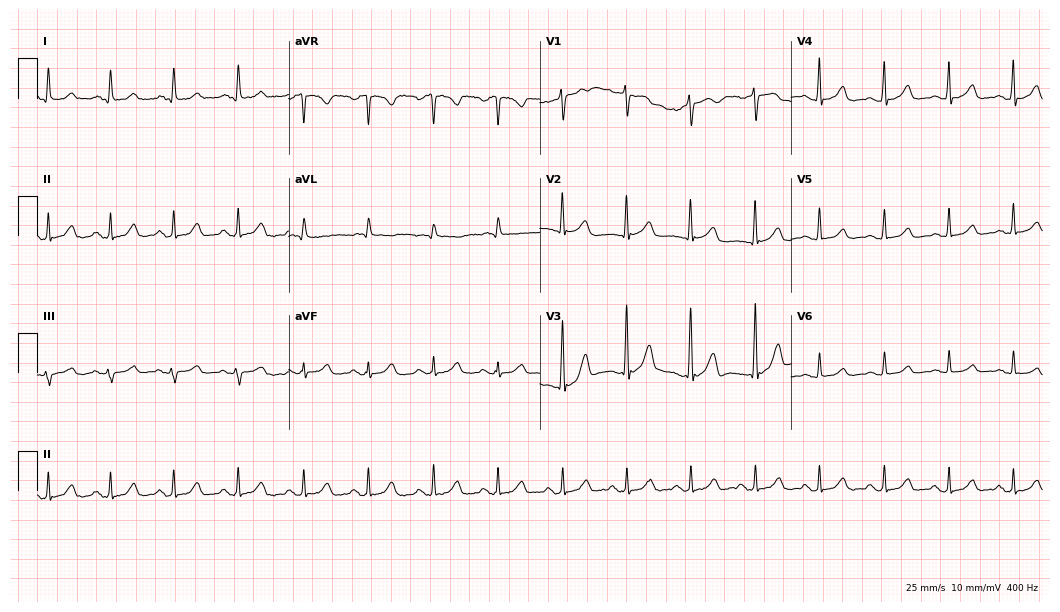
Electrocardiogram (10.2-second recording at 400 Hz), a 55-year-old woman. Overall reading on record: normal ECG.